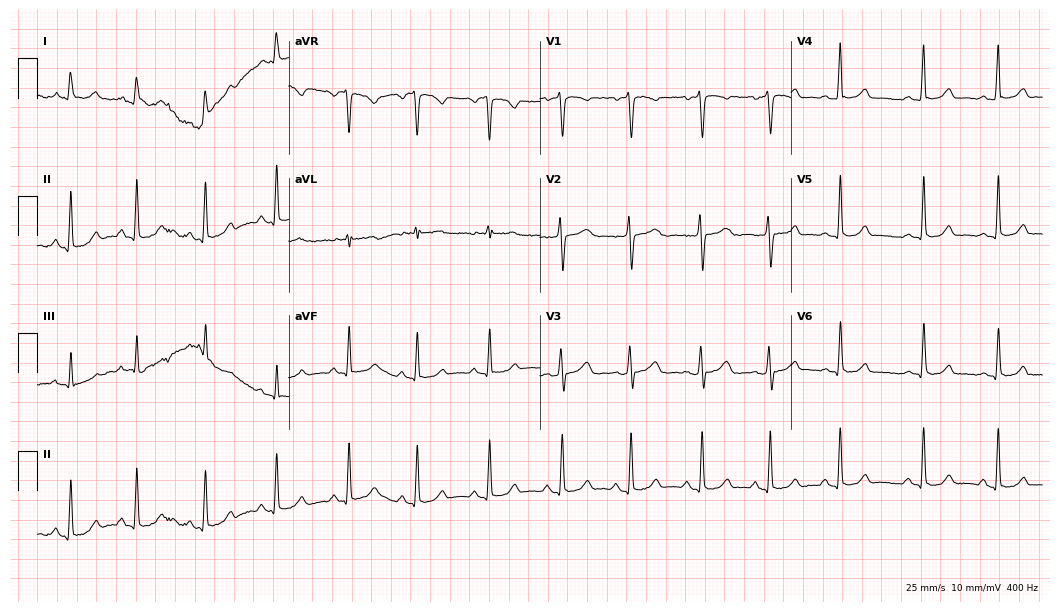
Standard 12-lead ECG recorded from a 19-year-old woman (10.2-second recording at 400 Hz). Read as a normal ECG.